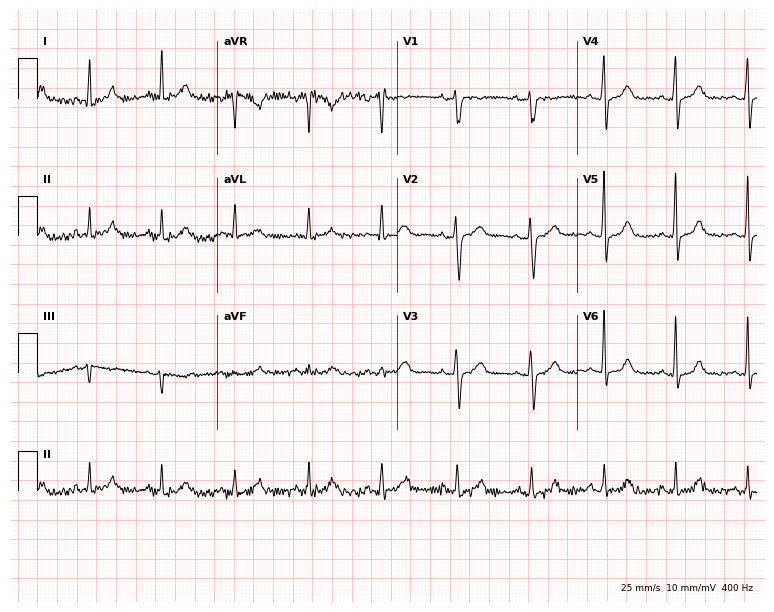
ECG — a 53-year-old female. Labelled as a normal ECG.